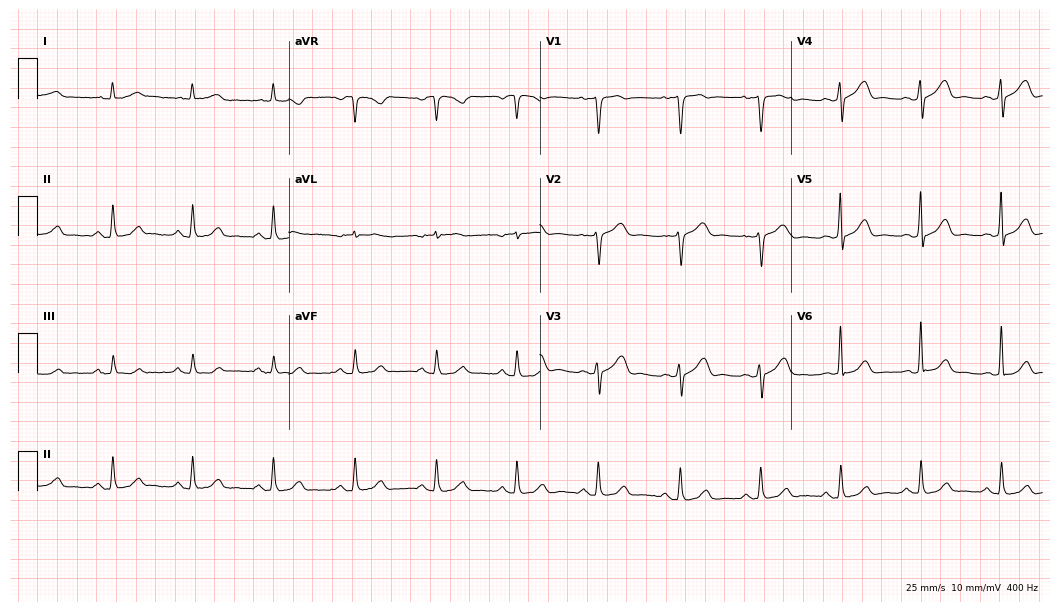
ECG (10.2-second recording at 400 Hz) — an 80-year-old male. Labelled as a normal ECG.